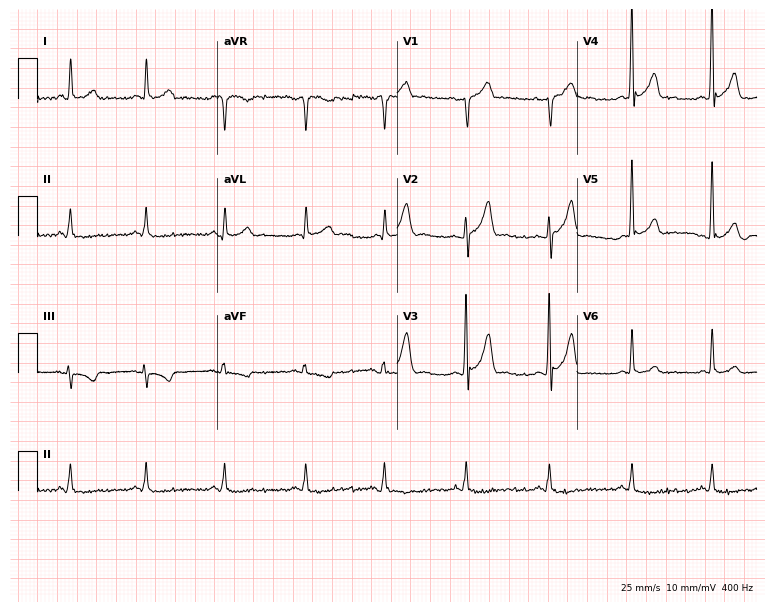
Electrocardiogram (7.3-second recording at 400 Hz), a 55-year-old man. Of the six screened findings (first-degree AV block, right bundle branch block, left bundle branch block, sinus bradycardia, atrial fibrillation, sinus tachycardia), none is recorded.